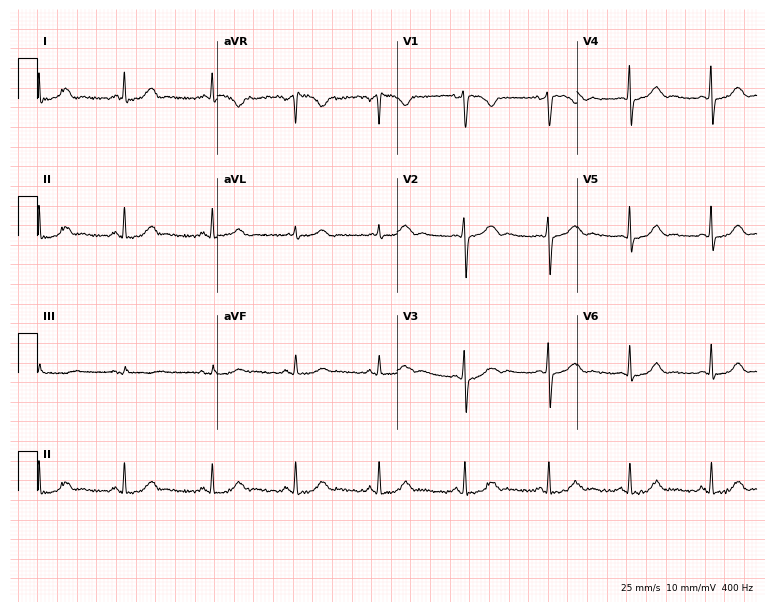
Standard 12-lead ECG recorded from a 25-year-old female. None of these six findings is recorded: first-degree AV block, right bundle branch block (RBBB), left bundle branch block (LBBB), sinus bradycardia, atrial fibrillation (AF), sinus tachycardia. Other findings, if any, are not listed.